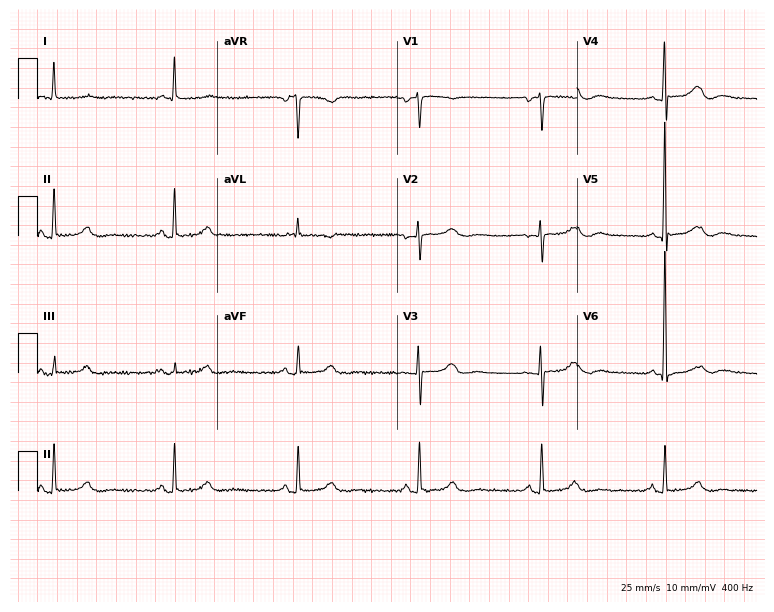
Electrocardiogram, an 80-year-old female. Interpretation includes sinus bradycardia (a sinus rate of 50 beats per minute or less).